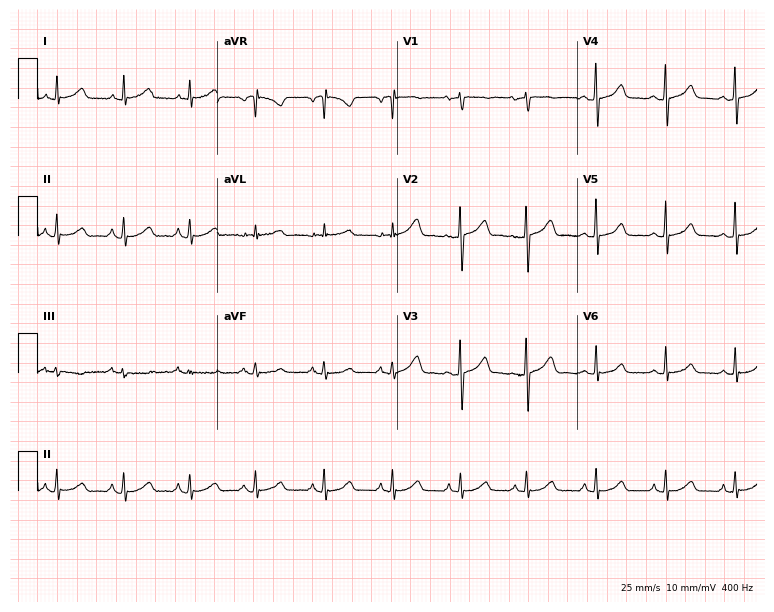
Electrocardiogram (7.3-second recording at 400 Hz), a 45-year-old female patient. Of the six screened findings (first-degree AV block, right bundle branch block (RBBB), left bundle branch block (LBBB), sinus bradycardia, atrial fibrillation (AF), sinus tachycardia), none is recorded. Findings outside these six are not listed.